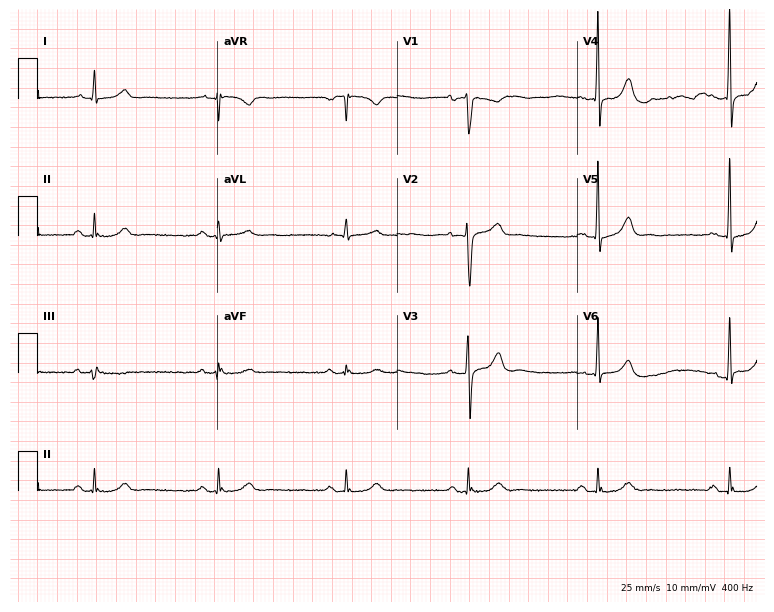
12-lead ECG (7.3-second recording at 400 Hz) from a 74-year-old male. Labelled as a normal ECG.